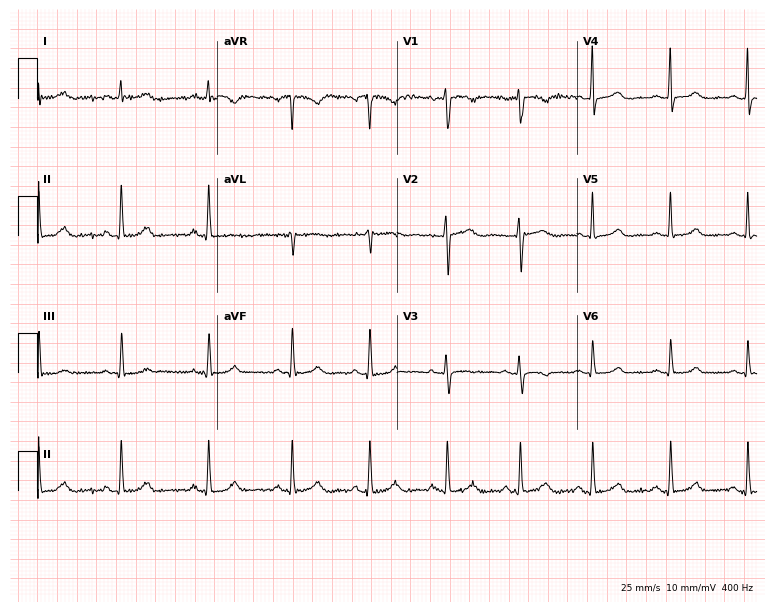
Standard 12-lead ECG recorded from a 27-year-old female patient (7.3-second recording at 400 Hz). Read as a normal ECG.